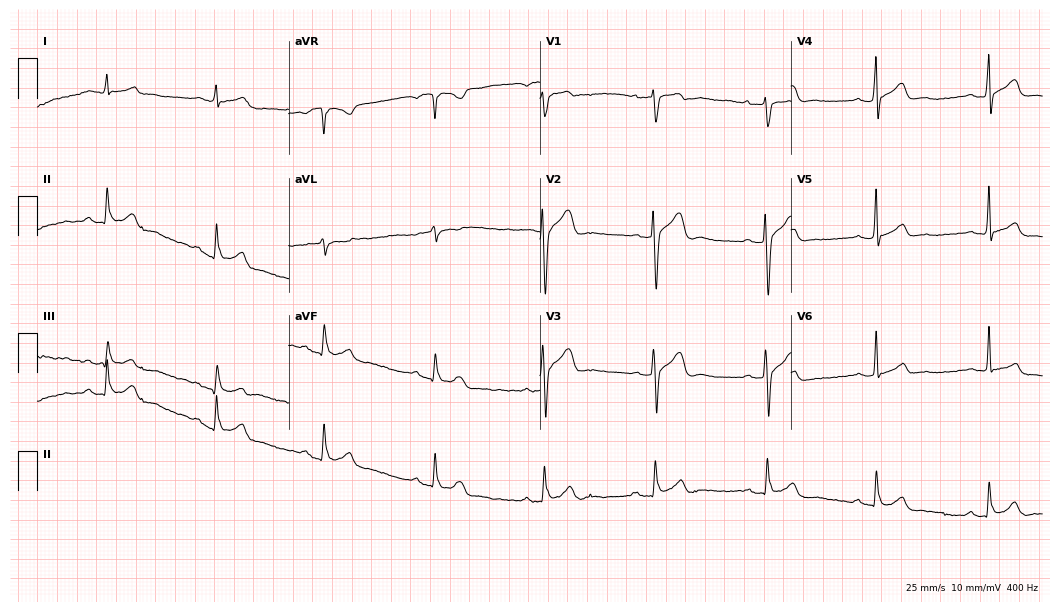
ECG (10.2-second recording at 400 Hz) — a 46-year-old male. Screened for six findings — first-degree AV block, right bundle branch block, left bundle branch block, sinus bradycardia, atrial fibrillation, sinus tachycardia — none is recorded. Findings outside these six are not listed.